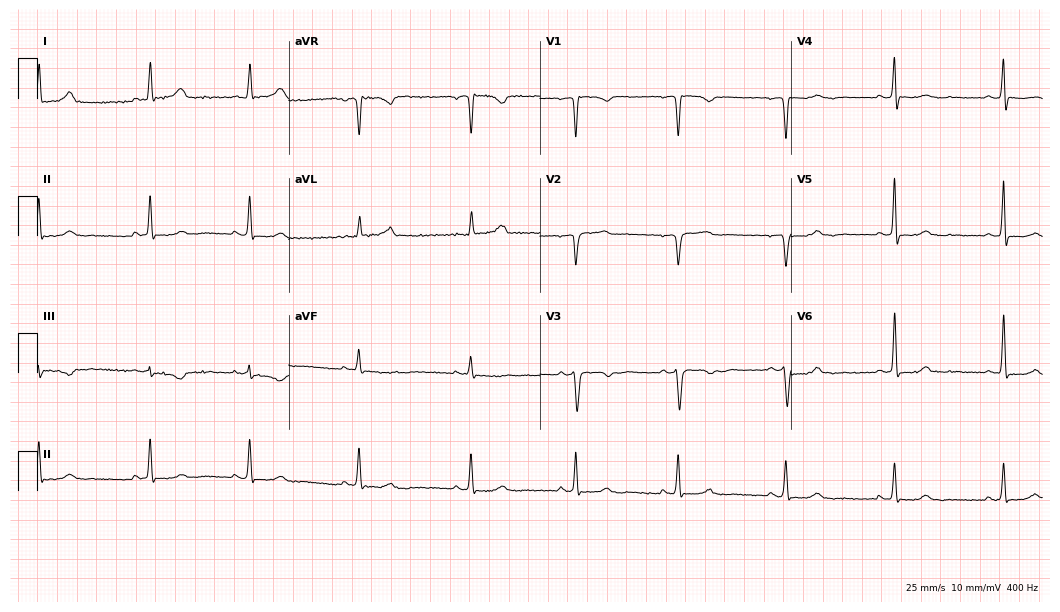
Resting 12-lead electrocardiogram (10.2-second recording at 400 Hz). Patient: a 59-year-old female. None of these six findings is recorded: first-degree AV block, right bundle branch block (RBBB), left bundle branch block (LBBB), sinus bradycardia, atrial fibrillation (AF), sinus tachycardia.